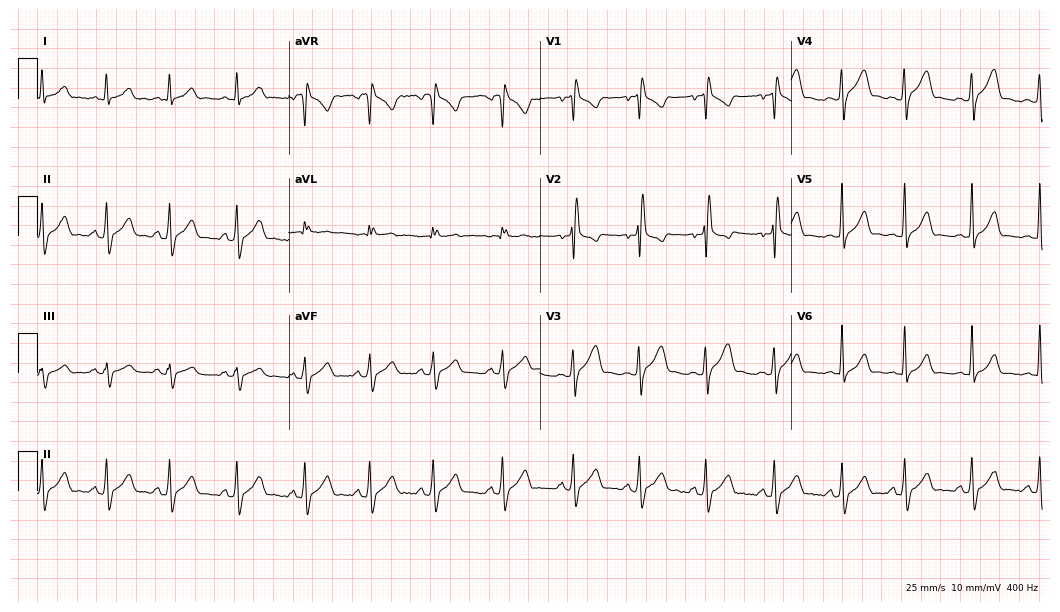
Electrocardiogram, a 17-year-old male. Of the six screened findings (first-degree AV block, right bundle branch block, left bundle branch block, sinus bradycardia, atrial fibrillation, sinus tachycardia), none is recorded. Only these six findings were labelled.